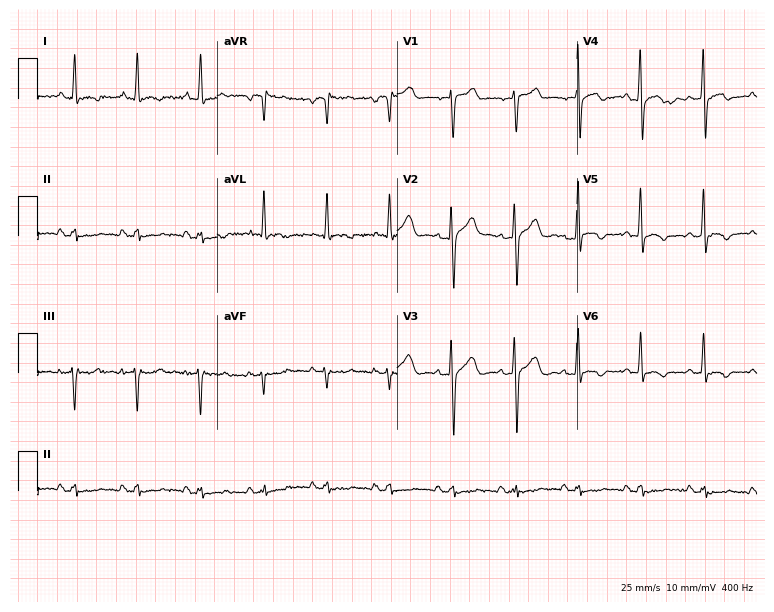
ECG (7.3-second recording at 400 Hz) — a 51-year-old male patient. Screened for six findings — first-degree AV block, right bundle branch block, left bundle branch block, sinus bradycardia, atrial fibrillation, sinus tachycardia — none is recorded. Only these six findings were labelled.